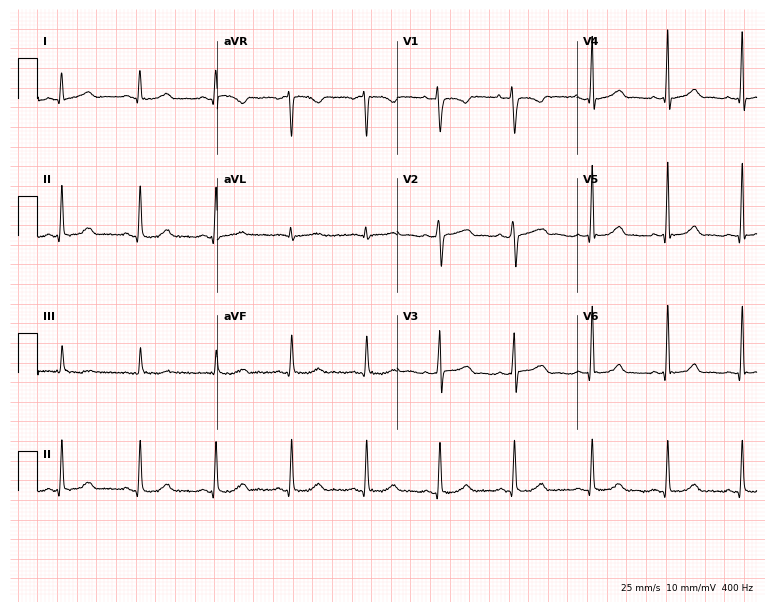
Standard 12-lead ECG recorded from a female patient, 30 years old. None of these six findings is recorded: first-degree AV block, right bundle branch block (RBBB), left bundle branch block (LBBB), sinus bradycardia, atrial fibrillation (AF), sinus tachycardia.